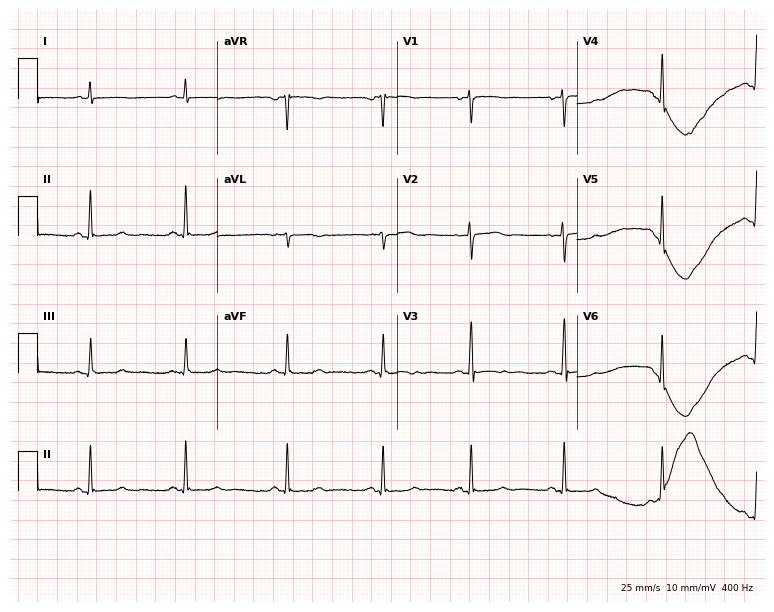
Electrocardiogram, a 49-year-old woman. Of the six screened findings (first-degree AV block, right bundle branch block (RBBB), left bundle branch block (LBBB), sinus bradycardia, atrial fibrillation (AF), sinus tachycardia), none is recorded. Findings outside these six are not listed.